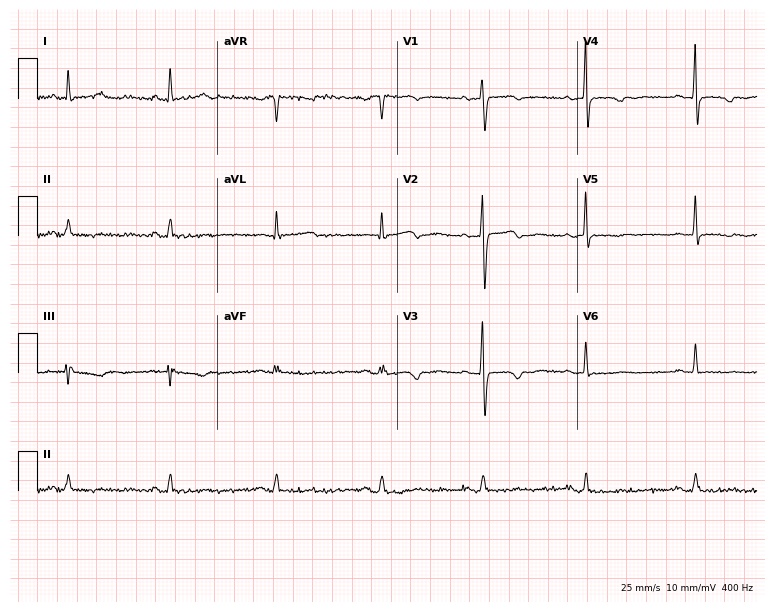
Standard 12-lead ECG recorded from a female, 59 years old. None of these six findings is recorded: first-degree AV block, right bundle branch block, left bundle branch block, sinus bradycardia, atrial fibrillation, sinus tachycardia. Other findings, if any, are not listed.